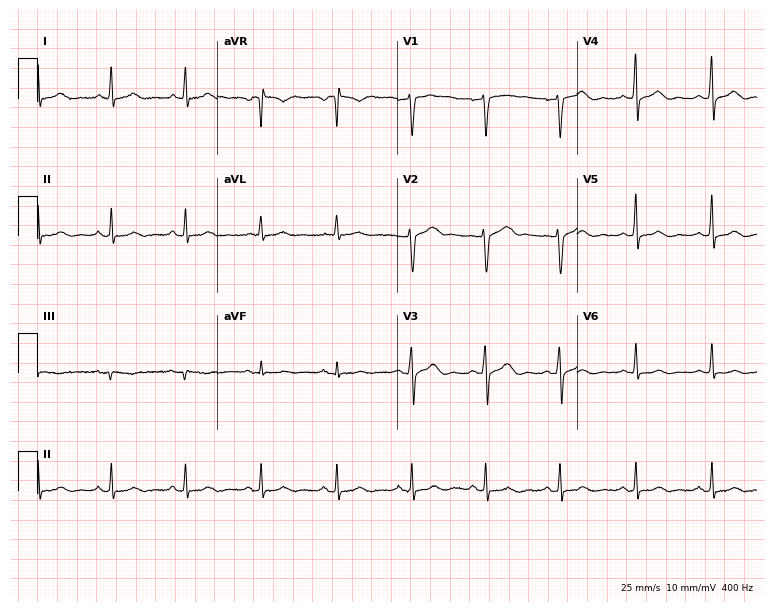
ECG (7.3-second recording at 400 Hz) — a 50-year-old woman. Labelled as a normal ECG.